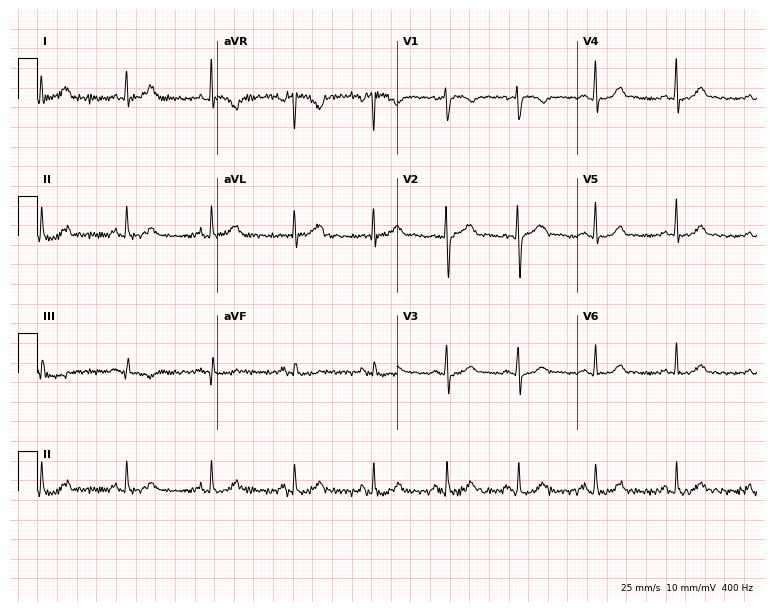
Resting 12-lead electrocardiogram. Patient: a female, 44 years old. Read as a normal ECG.